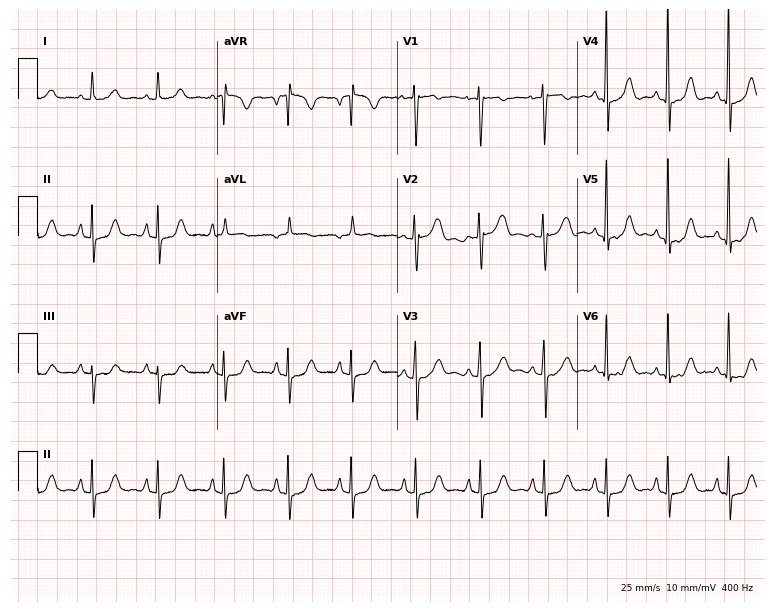
12-lead ECG from a 61-year-old female patient (7.3-second recording at 400 Hz). No first-degree AV block, right bundle branch block, left bundle branch block, sinus bradycardia, atrial fibrillation or sinus tachycardia recorded for this tracing. Only these six findings were labelled.